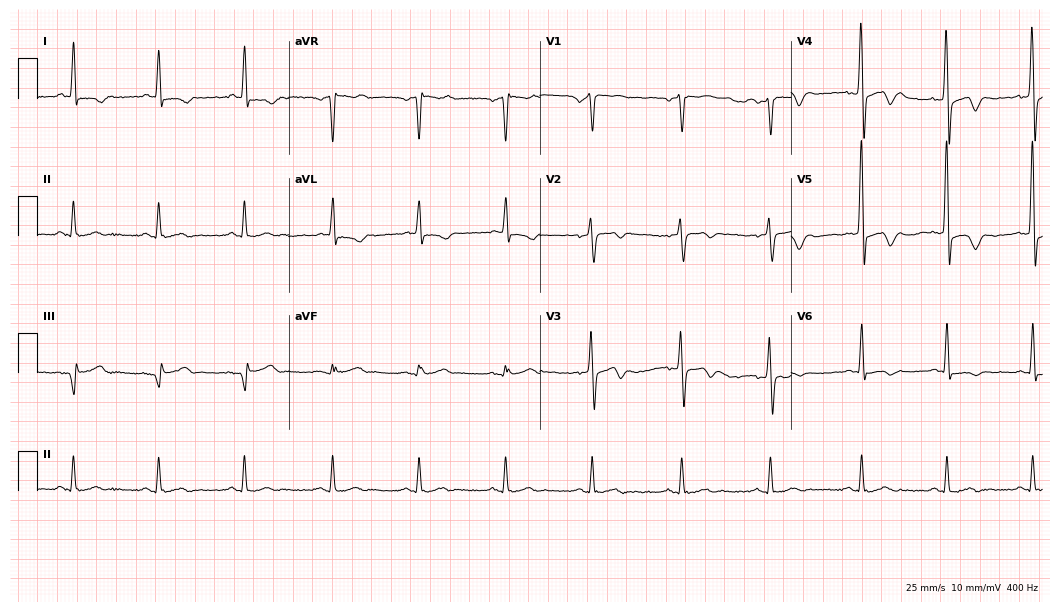
Standard 12-lead ECG recorded from a male patient, 56 years old (10.2-second recording at 400 Hz). None of these six findings is recorded: first-degree AV block, right bundle branch block, left bundle branch block, sinus bradycardia, atrial fibrillation, sinus tachycardia.